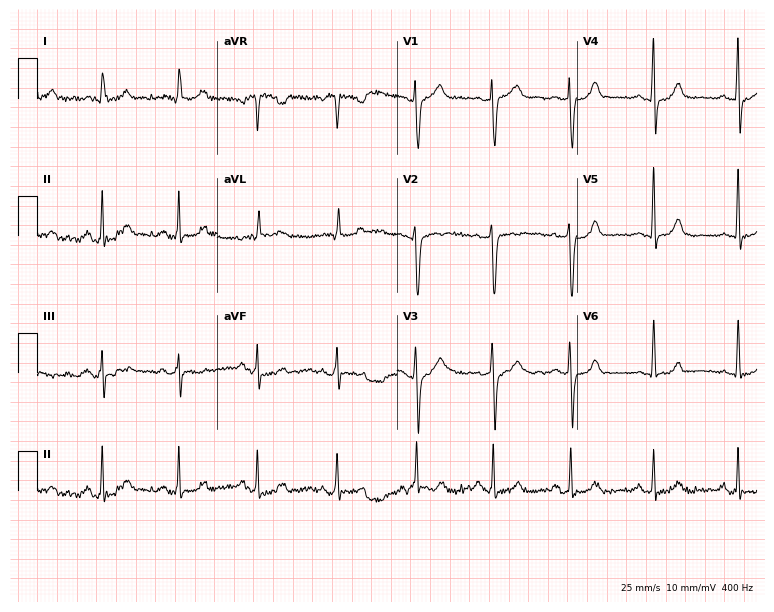
ECG — a female patient, 42 years old. Screened for six findings — first-degree AV block, right bundle branch block, left bundle branch block, sinus bradycardia, atrial fibrillation, sinus tachycardia — none is recorded.